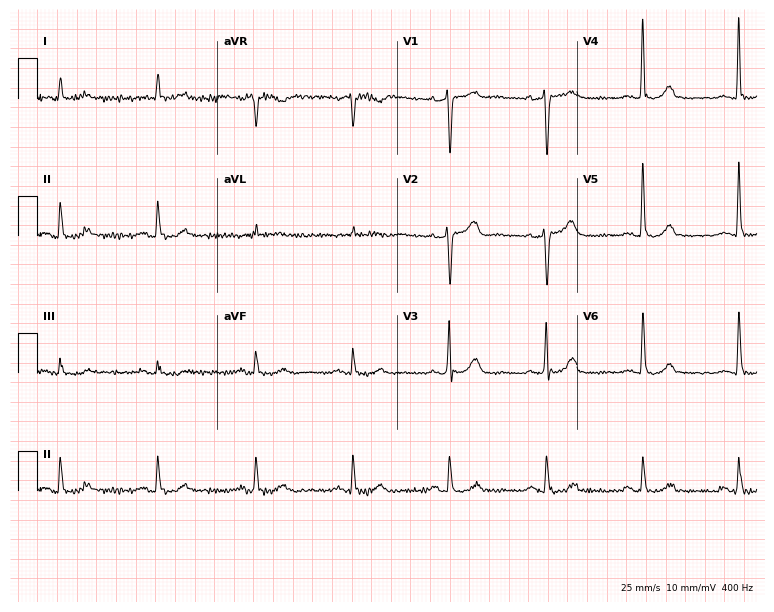
Resting 12-lead electrocardiogram. Patient: a 76-year-old male. None of these six findings is recorded: first-degree AV block, right bundle branch block, left bundle branch block, sinus bradycardia, atrial fibrillation, sinus tachycardia. Only these six findings were labelled.